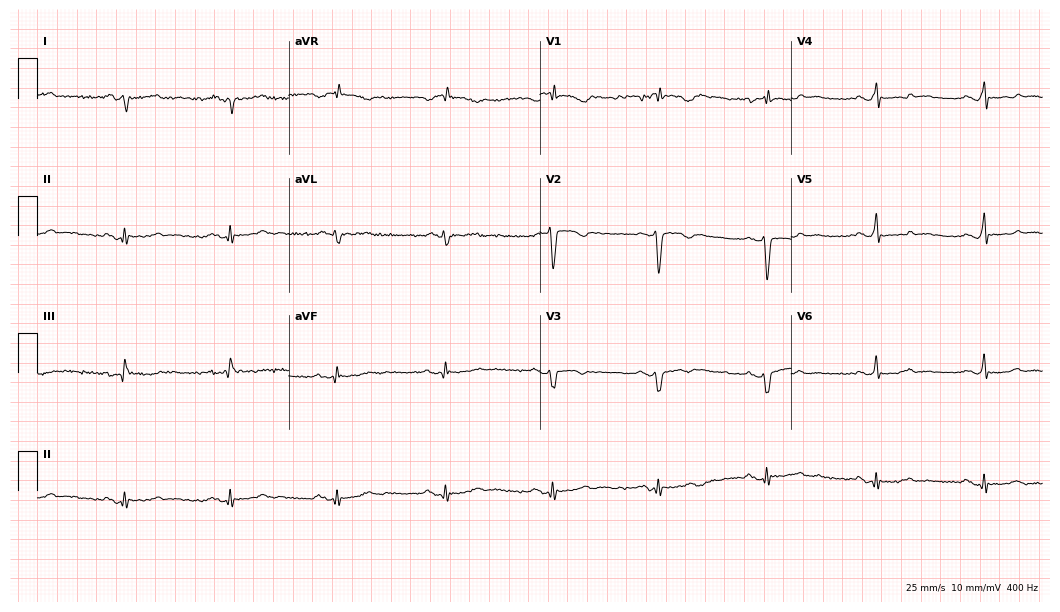
12-lead ECG from a 49-year-old woman. No first-degree AV block, right bundle branch block (RBBB), left bundle branch block (LBBB), sinus bradycardia, atrial fibrillation (AF) or sinus tachycardia recorded for this tracing. Only these six findings were labelled.